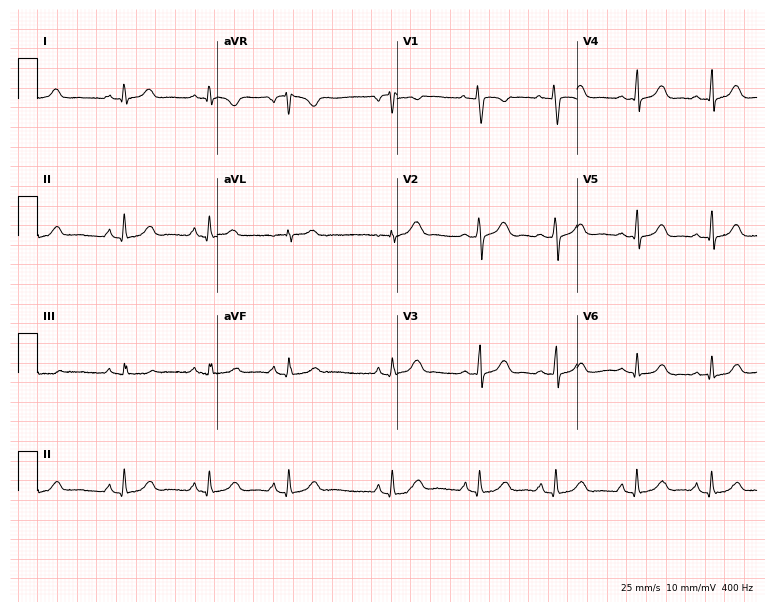
Electrocardiogram, a 21-year-old female. Of the six screened findings (first-degree AV block, right bundle branch block, left bundle branch block, sinus bradycardia, atrial fibrillation, sinus tachycardia), none is recorded. Other findings, if any, are not listed.